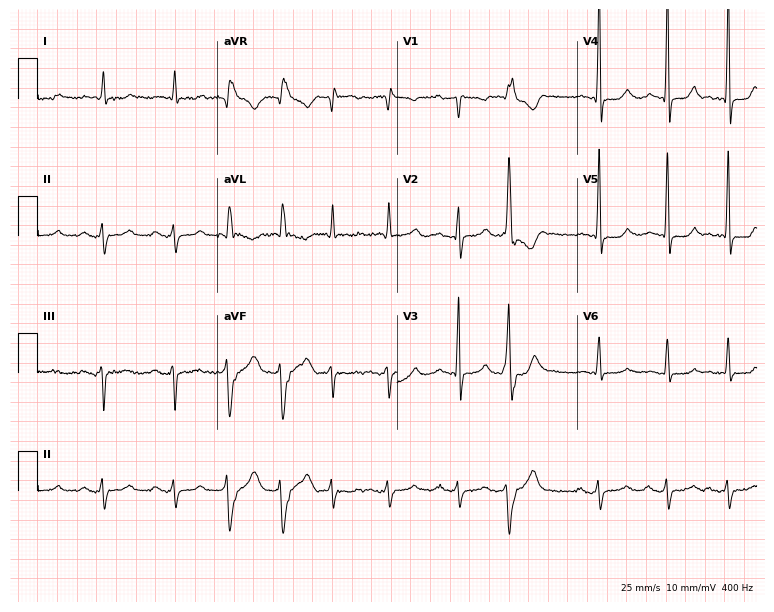
ECG (7.3-second recording at 400 Hz) — a woman, 83 years old. Screened for six findings — first-degree AV block, right bundle branch block, left bundle branch block, sinus bradycardia, atrial fibrillation, sinus tachycardia — none is recorded. Findings outside these six are not listed.